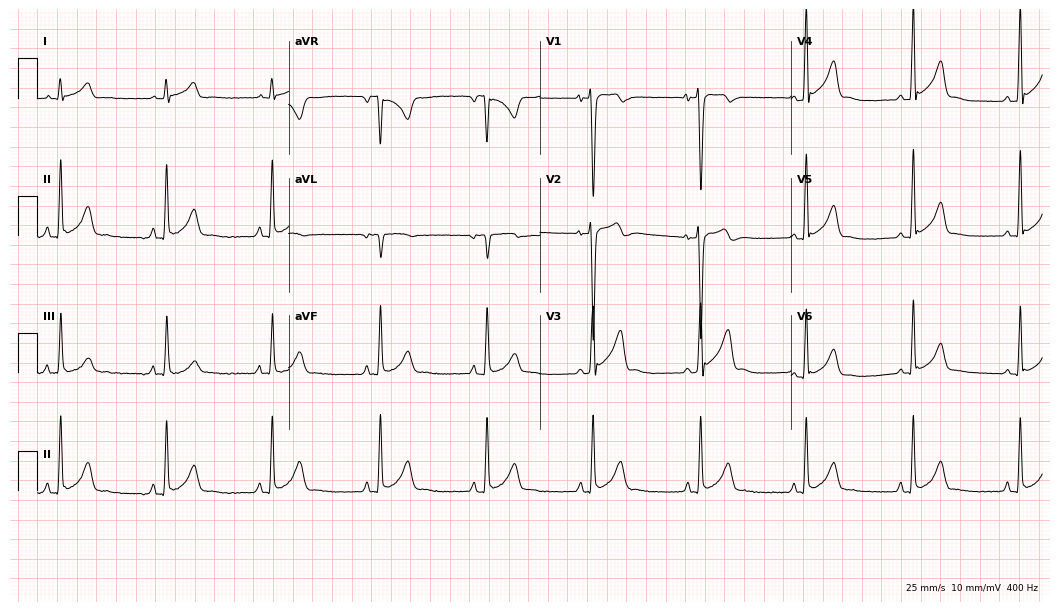
12-lead ECG (10.2-second recording at 400 Hz) from a male, 17 years old. Screened for six findings — first-degree AV block, right bundle branch block, left bundle branch block, sinus bradycardia, atrial fibrillation, sinus tachycardia — none is recorded. Other findings, if any, are not listed.